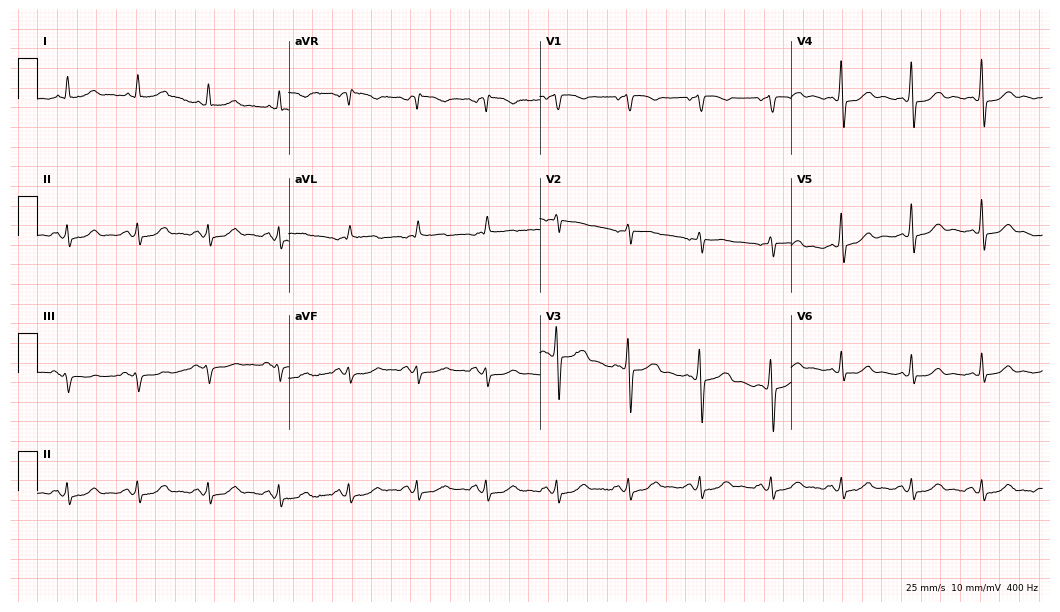
12-lead ECG (10.2-second recording at 400 Hz) from a male patient, 77 years old. Screened for six findings — first-degree AV block, right bundle branch block, left bundle branch block, sinus bradycardia, atrial fibrillation, sinus tachycardia — none is recorded. Findings outside these six are not listed.